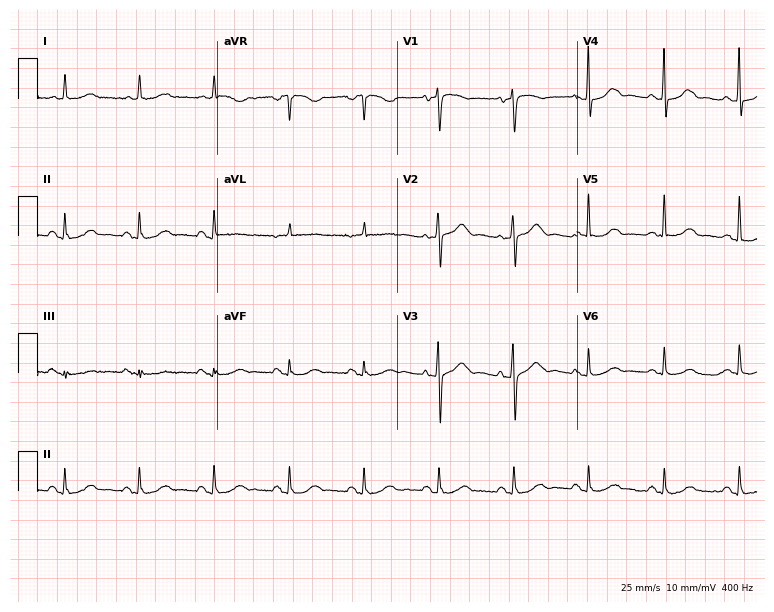
ECG (7.3-second recording at 400 Hz) — a female, 75 years old. Screened for six findings — first-degree AV block, right bundle branch block, left bundle branch block, sinus bradycardia, atrial fibrillation, sinus tachycardia — none is recorded.